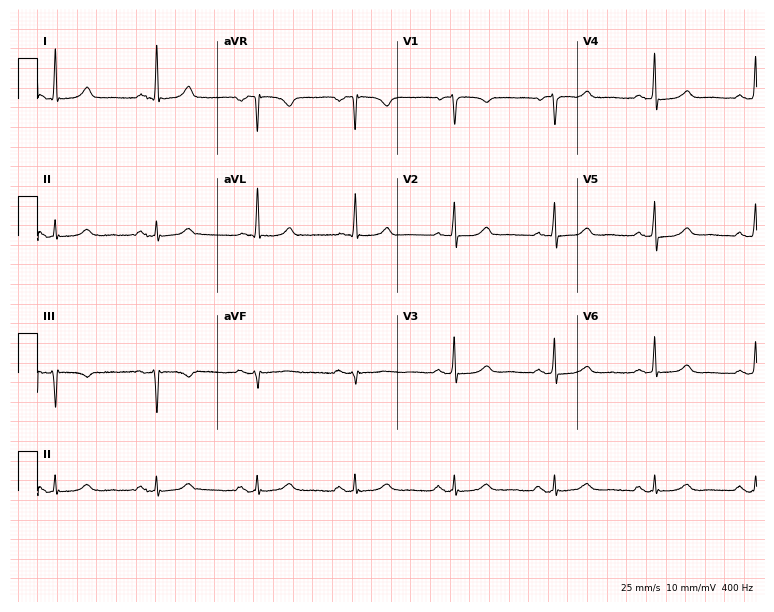
ECG — a female patient, 73 years old. Labelled as a normal ECG.